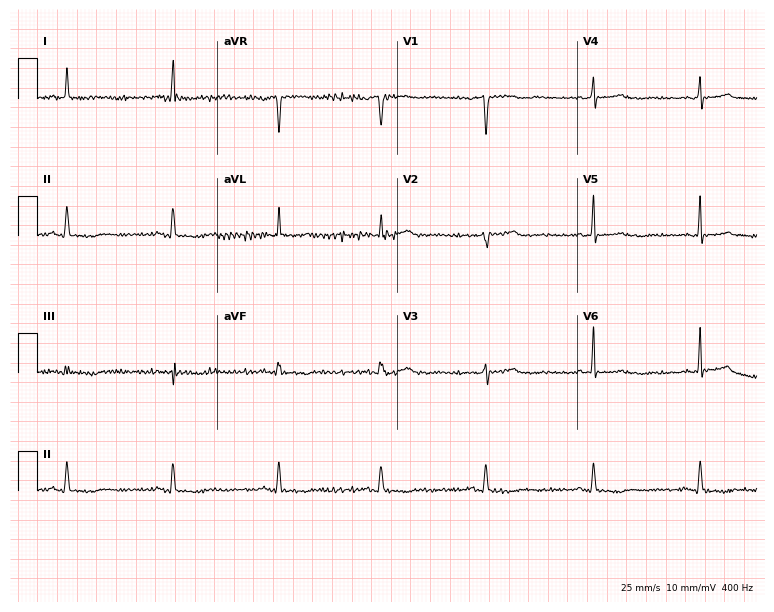
Resting 12-lead electrocardiogram (7.3-second recording at 400 Hz). Patient: a female, 60 years old. None of these six findings is recorded: first-degree AV block, right bundle branch block, left bundle branch block, sinus bradycardia, atrial fibrillation, sinus tachycardia.